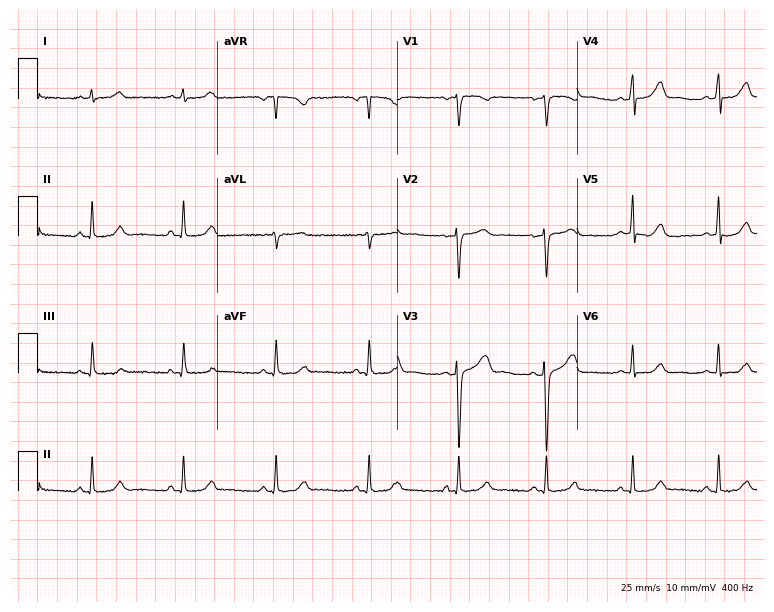
Electrocardiogram (7.3-second recording at 400 Hz), a woman, 33 years old. Of the six screened findings (first-degree AV block, right bundle branch block, left bundle branch block, sinus bradycardia, atrial fibrillation, sinus tachycardia), none is recorded. Only these six findings were labelled.